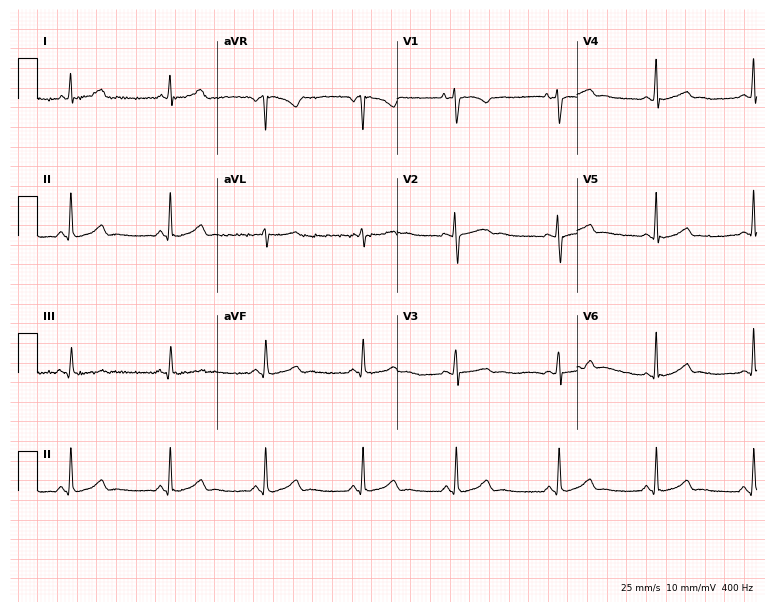
12-lead ECG from a female patient, 21 years old. Recorded interpretation: within normal limits.